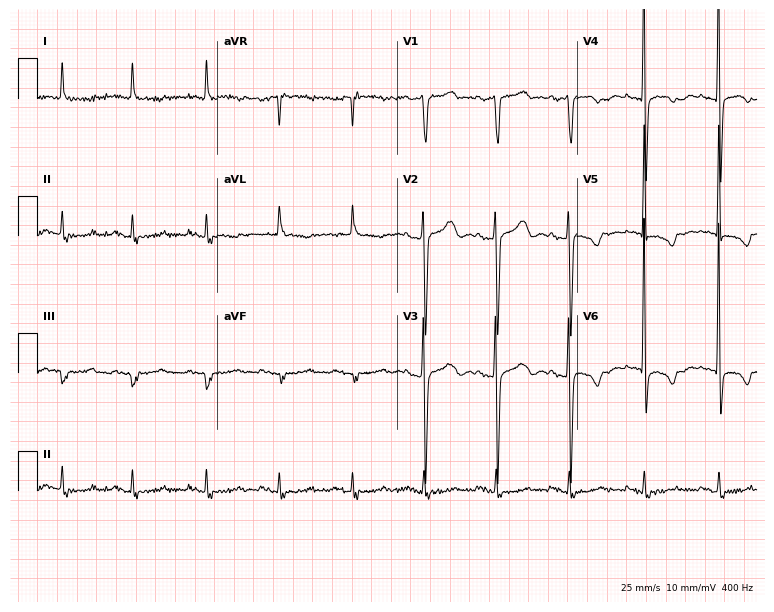
12-lead ECG from an 82-year-old man. No first-degree AV block, right bundle branch block, left bundle branch block, sinus bradycardia, atrial fibrillation or sinus tachycardia recorded for this tracing. Only these six findings were labelled.